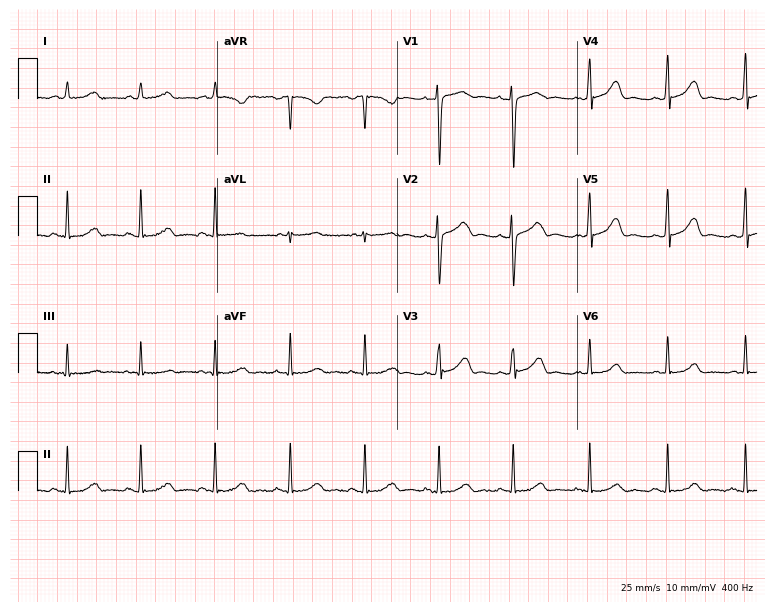
Electrocardiogram, a female patient, 30 years old. Overall reading on record: normal ECG.